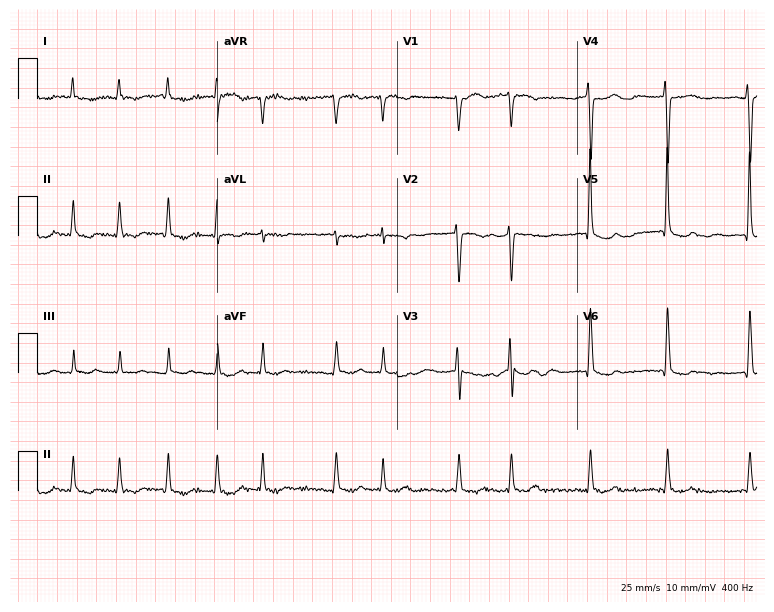
Standard 12-lead ECG recorded from an 85-year-old female. The tracing shows atrial fibrillation.